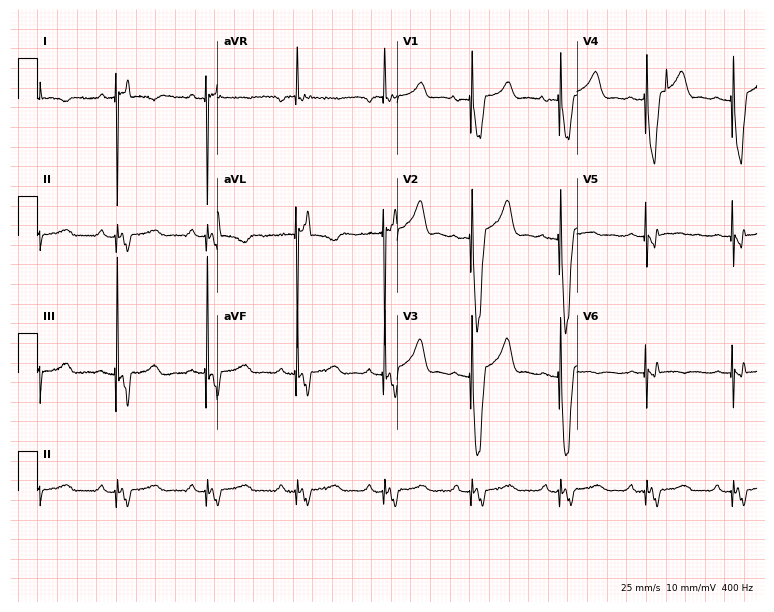
Resting 12-lead electrocardiogram (7.3-second recording at 400 Hz). Patient: a 46-year-old woman. None of these six findings is recorded: first-degree AV block, right bundle branch block, left bundle branch block, sinus bradycardia, atrial fibrillation, sinus tachycardia. Other findings, if any, are not listed.